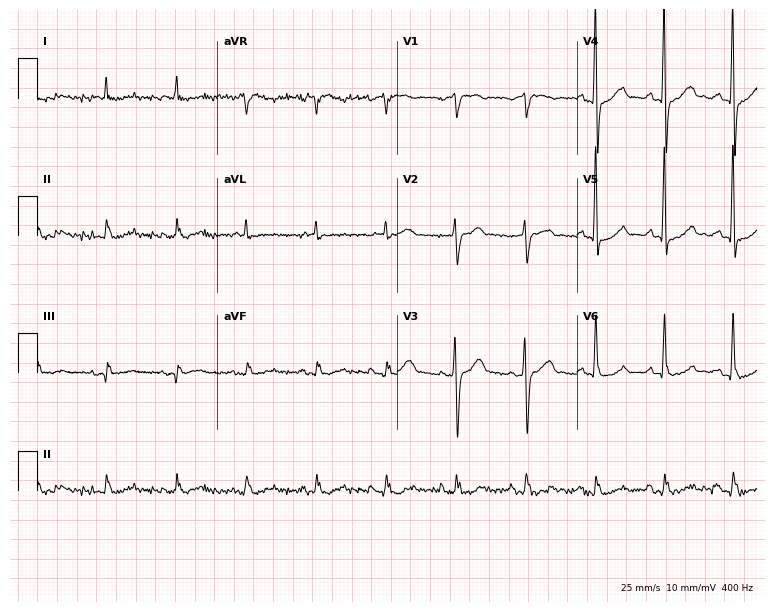
ECG (7.3-second recording at 400 Hz) — a male, 76 years old. Screened for six findings — first-degree AV block, right bundle branch block, left bundle branch block, sinus bradycardia, atrial fibrillation, sinus tachycardia — none is recorded. Other findings, if any, are not listed.